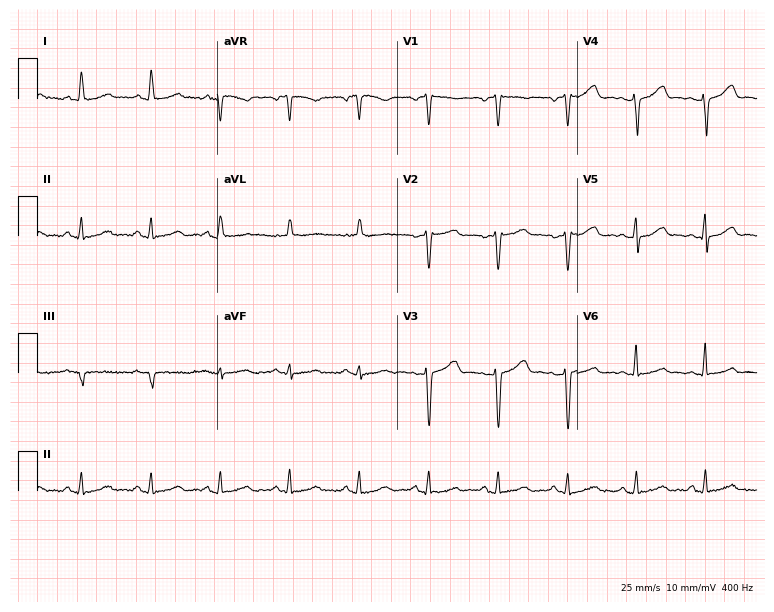
Standard 12-lead ECG recorded from a 64-year-old female patient (7.3-second recording at 400 Hz). None of these six findings is recorded: first-degree AV block, right bundle branch block (RBBB), left bundle branch block (LBBB), sinus bradycardia, atrial fibrillation (AF), sinus tachycardia.